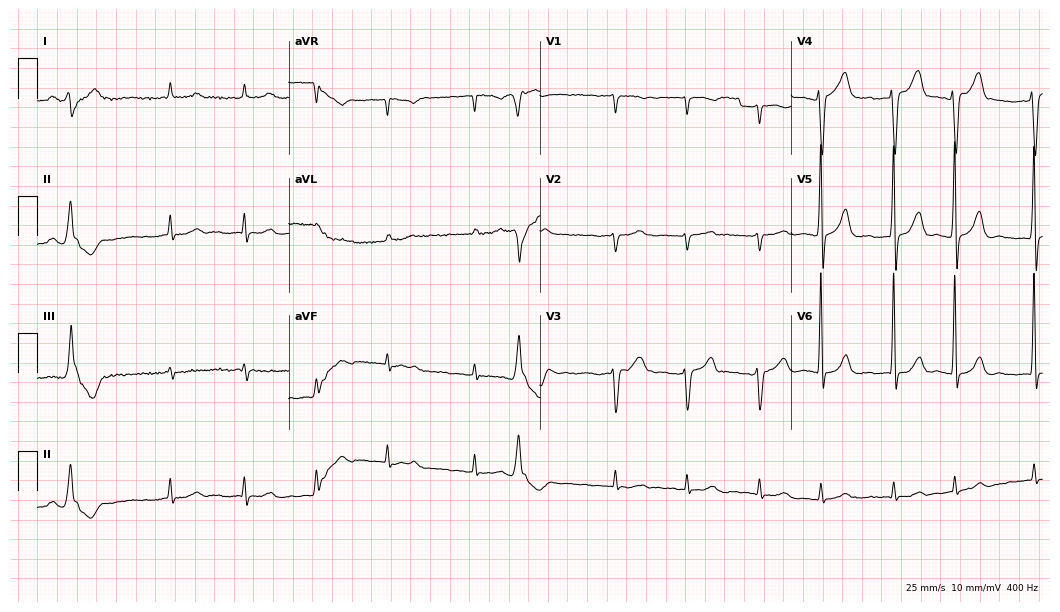
Electrocardiogram (10.2-second recording at 400 Hz), a 34-year-old man. Interpretation includes atrial fibrillation.